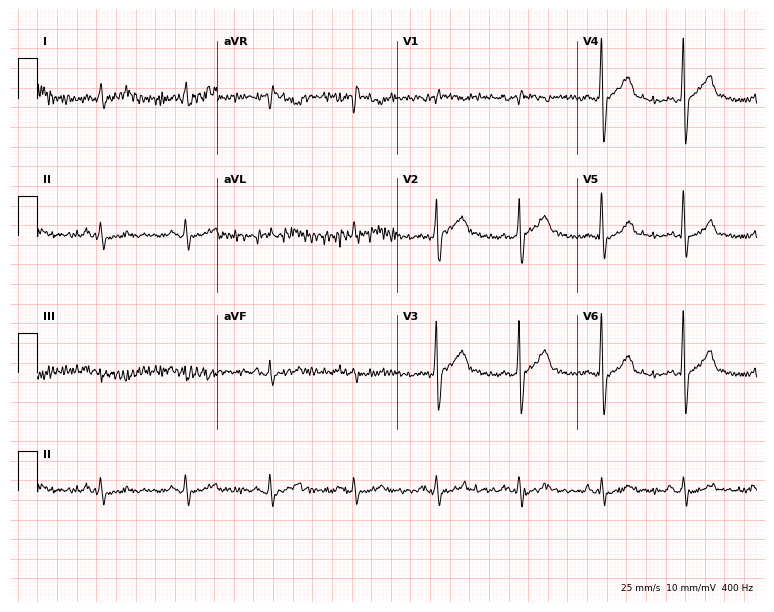
Resting 12-lead electrocardiogram. Patient: a 66-year-old male. None of these six findings is recorded: first-degree AV block, right bundle branch block, left bundle branch block, sinus bradycardia, atrial fibrillation, sinus tachycardia. Only these six findings were labelled.